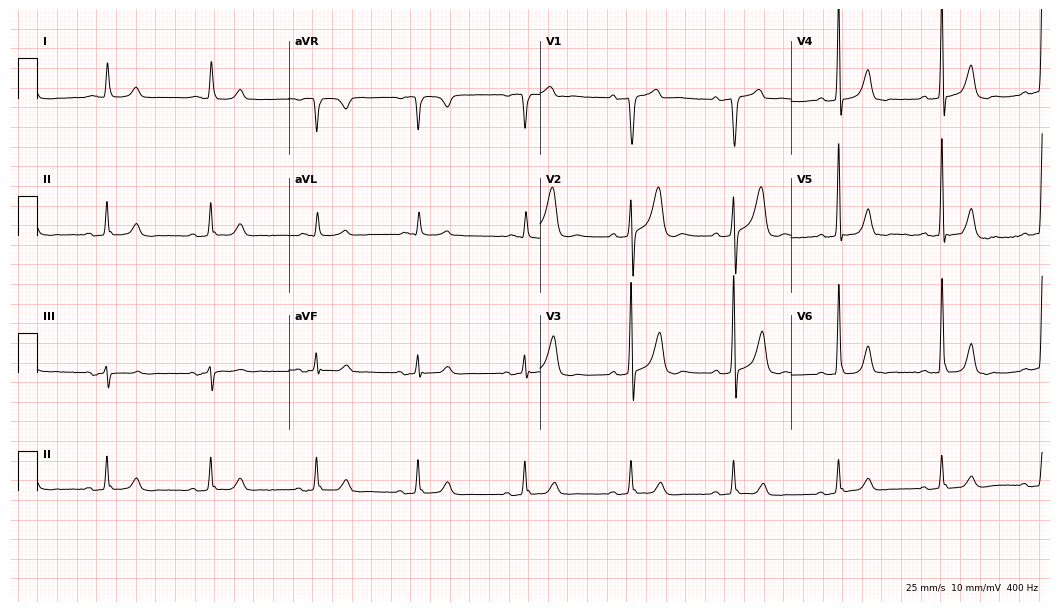
12-lead ECG from a 67-year-old male patient. Labelled as a normal ECG.